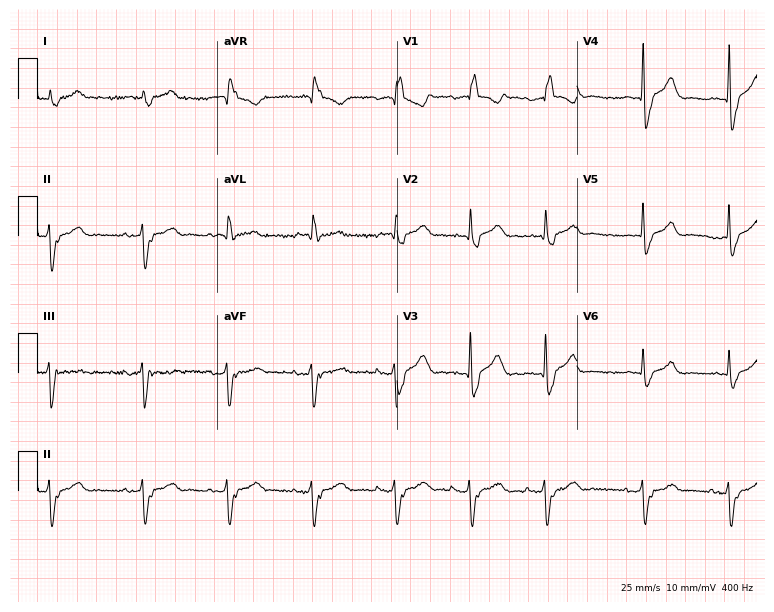
ECG (7.3-second recording at 400 Hz) — a man, 75 years old. Findings include right bundle branch block.